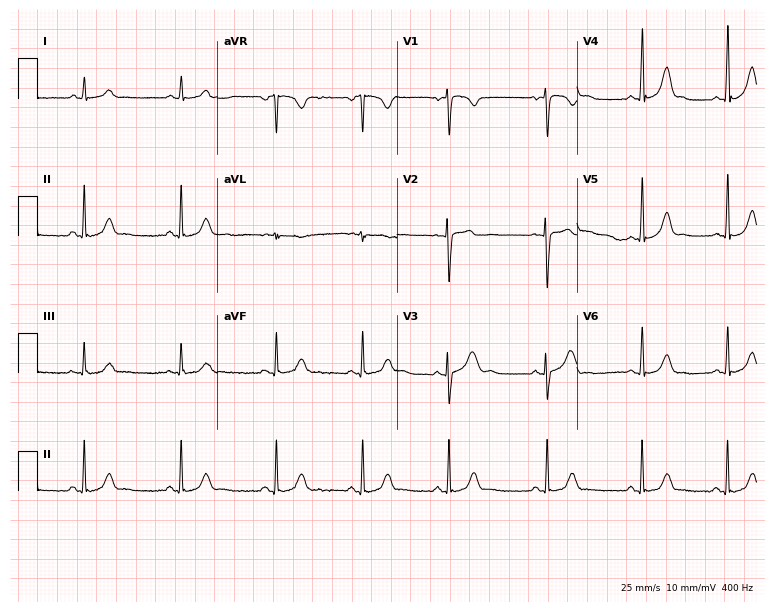
12-lead ECG from a 20-year-old female. Labelled as a normal ECG.